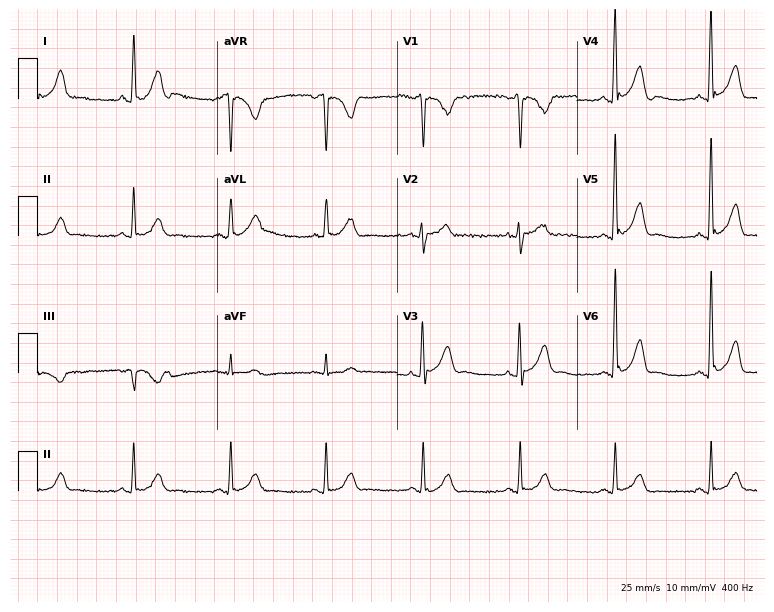
12-lead ECG (7.3-second recording at 400 Hz) from a 52-year-old man. Labelled as a normal ECG.